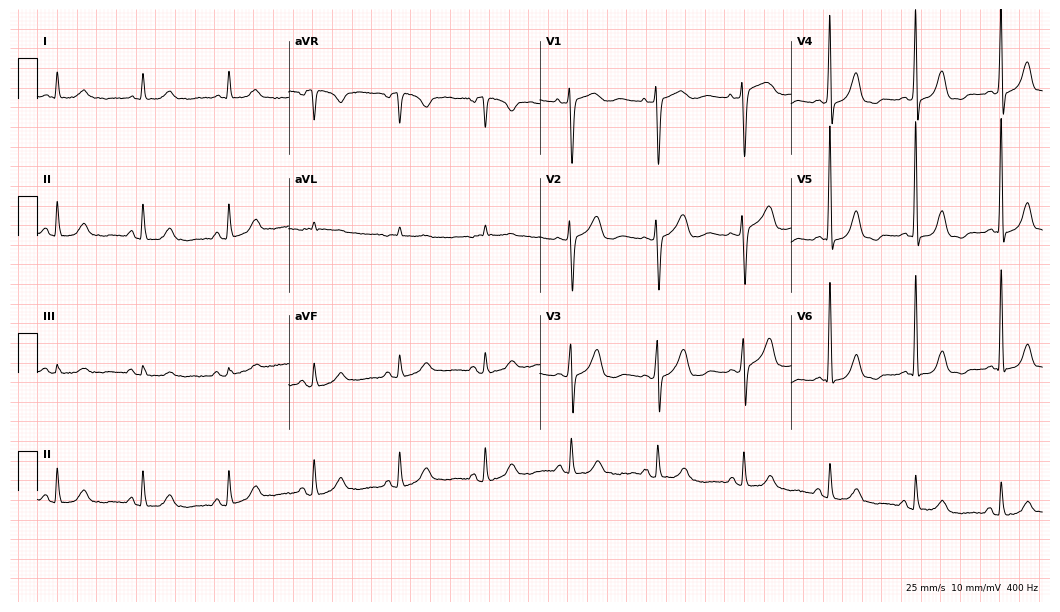
12-lead ECG from a male patient, 78 years old. Screened for six findings — first-degree AV block, right bundle branch block (RBBB), left bundle branch block (LBBB), sinus bradycardia, atrial fibrillation (AF), sinus tachycardia — none is recorded. Findings outside these six are not listed.